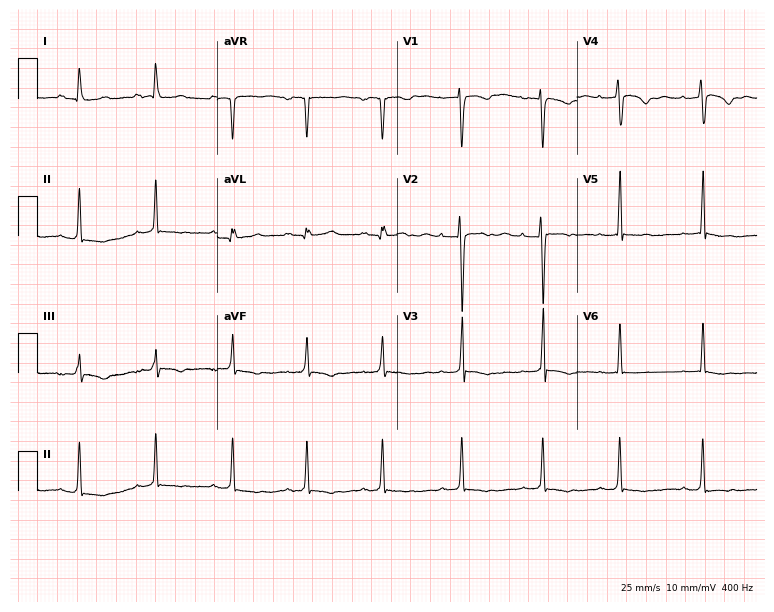
12-lead ECG from a female patient, 19 years old (7.3-second recording at 400 Hz). No first-degree AV block, right bundle branch block (RBBB), left bundle branch block (LBBB), sinus bradycardia, atrial fibrillation (AF) or sinus tachycardia recorded for this tracing. Findings outside these six are not listed.